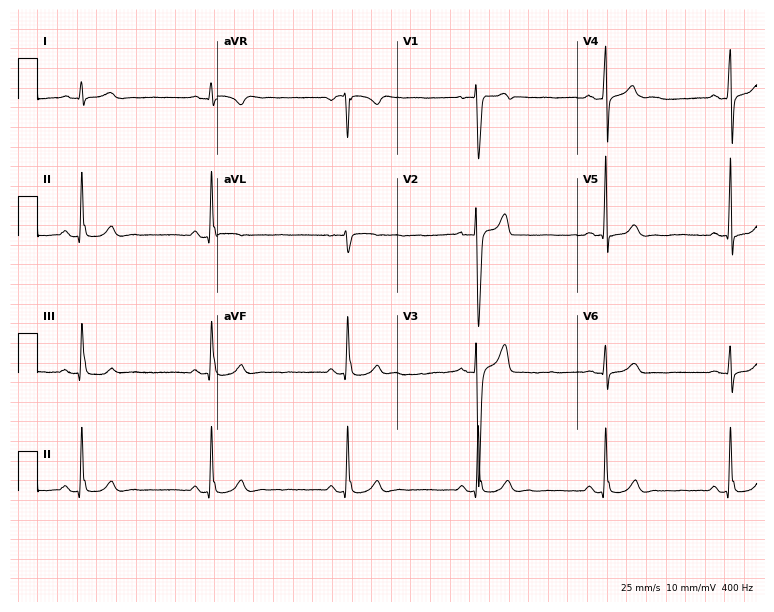
Standard 12-lead ECG recorded from a 39-year-old male. The tracing shows sinus bradycardia (a sinus rate of 50 beats per minute or less).